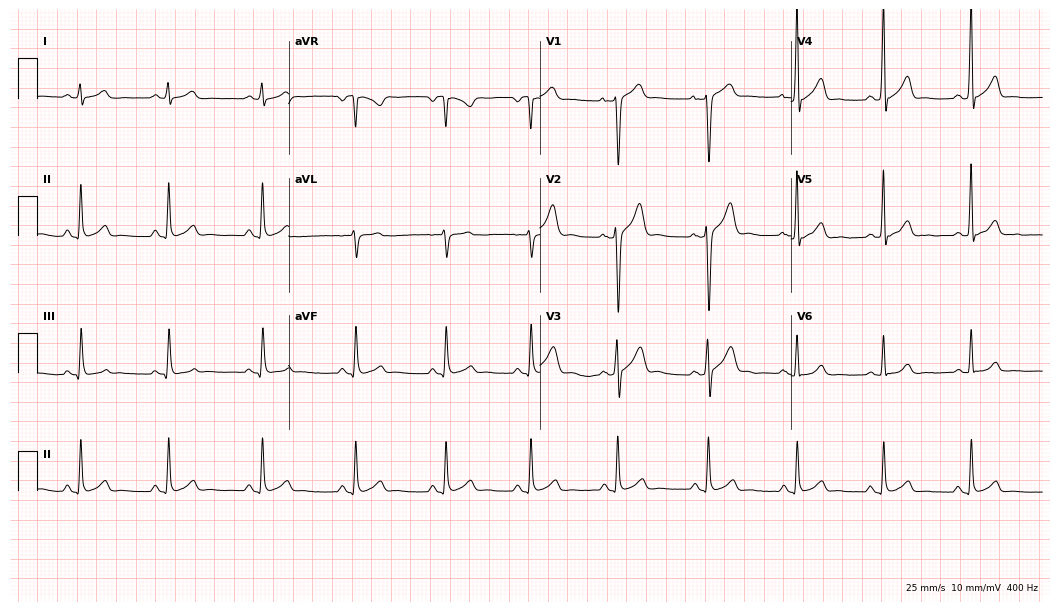
Resting 12-lead electrocardiogram. Patient: a 21-year-old man. Read as a normal ECG.